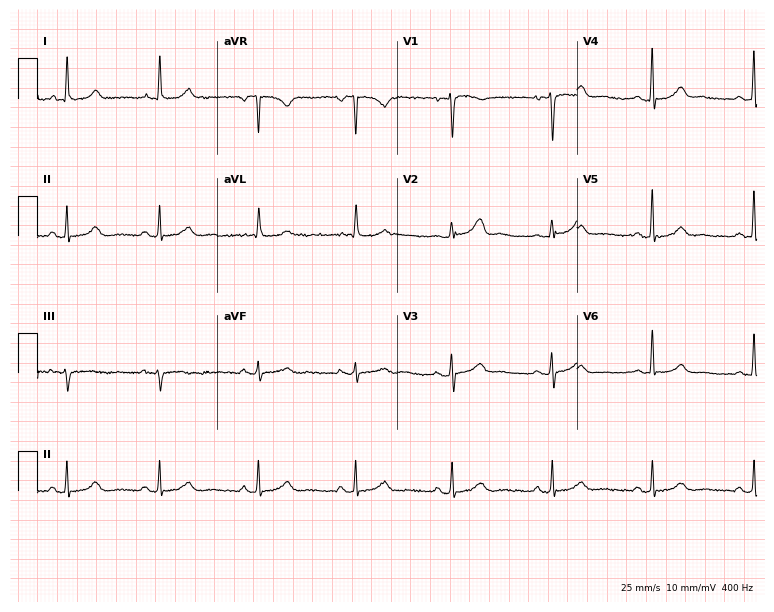
Standard 12-lead ECG recorded from a female patient, 55 years old. Read as a normal ECG.